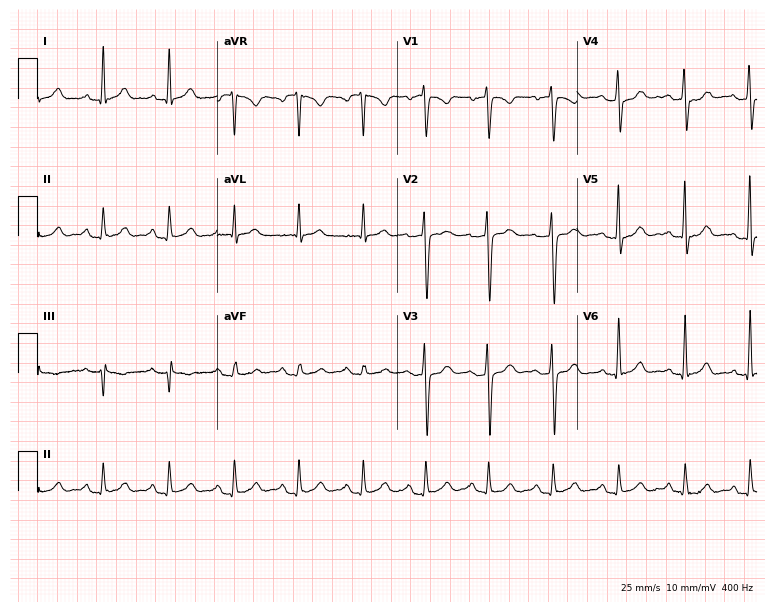
Electrocardiogram (7.3-second recording at 400 Hz), a 61-year-old male patient. Of the six screened findings (first-degree AV block, right bundle branch block, left bundle branch block, sinus bradycardia, atrial fibrillation, sinus tachycardia), none is recorded.